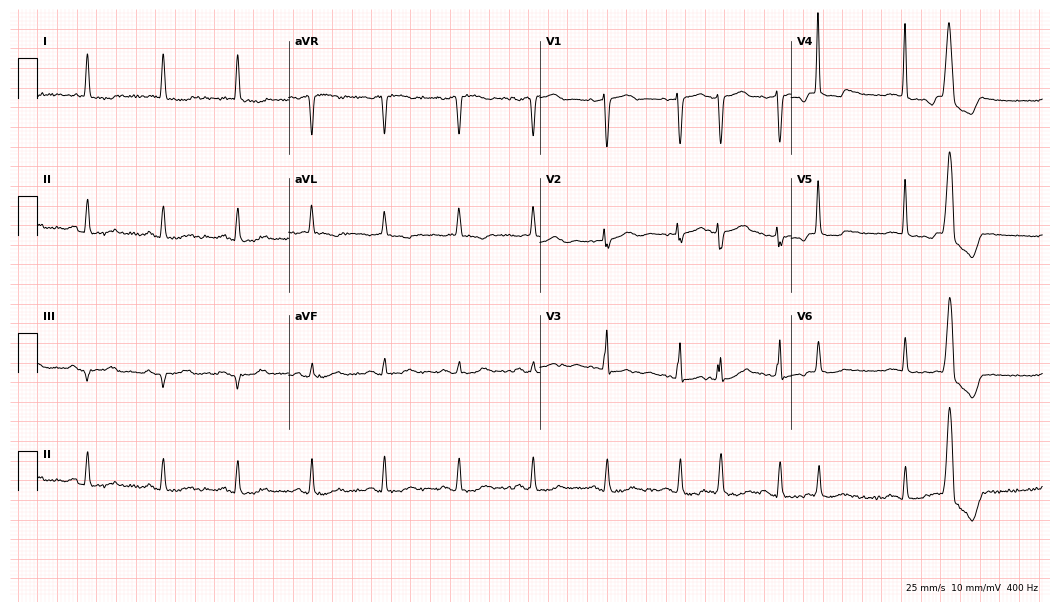
Resting 12-lead electrocardiogram (10.2-second recording at 400 Hz). Patient: a female, 72 years old. None of these six findings is recorded: first-degree AV block, right bundle branch block (RBBB), left bundle branch block (LBBB), sinus bradycardia, atrial fibrillation (AF), sinus tachycardia.